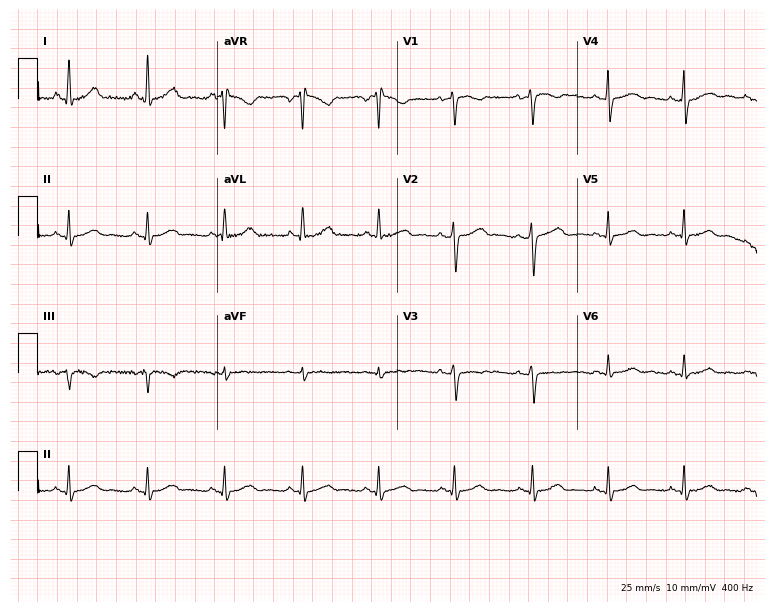
Standard 12-lead ECG recorded from a 51-year-old female patient (7.3-second recording at 400 Hz). Read as a normal ECG.